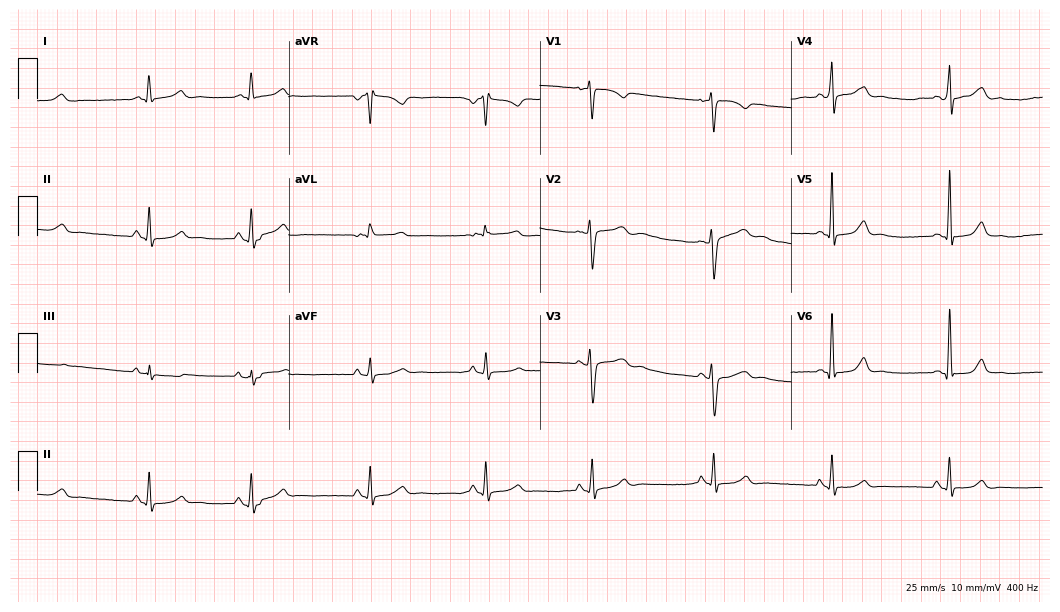
Standard 12-lead ECG recorded from a 30-year-old woman. Read as a normal ECG.